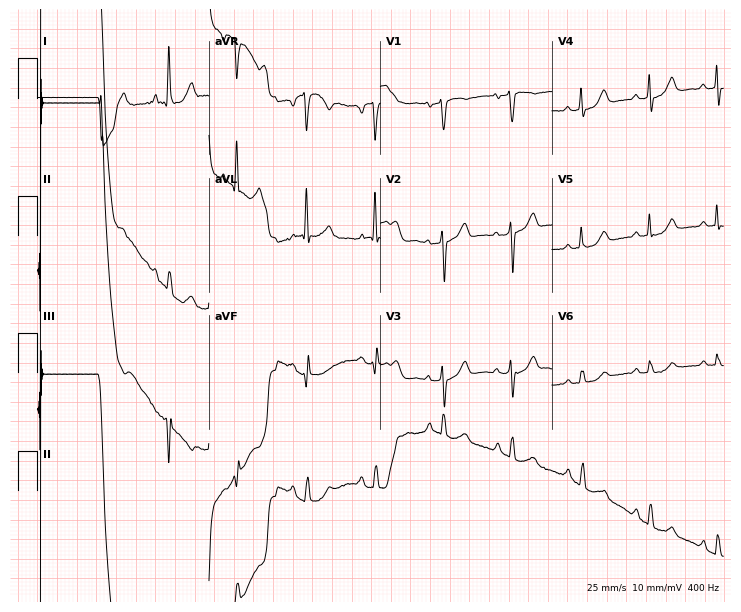
12-lead ECG (7-second recording at 400 Hz) from a female, 68 years old. Labelled as a normal ECG.